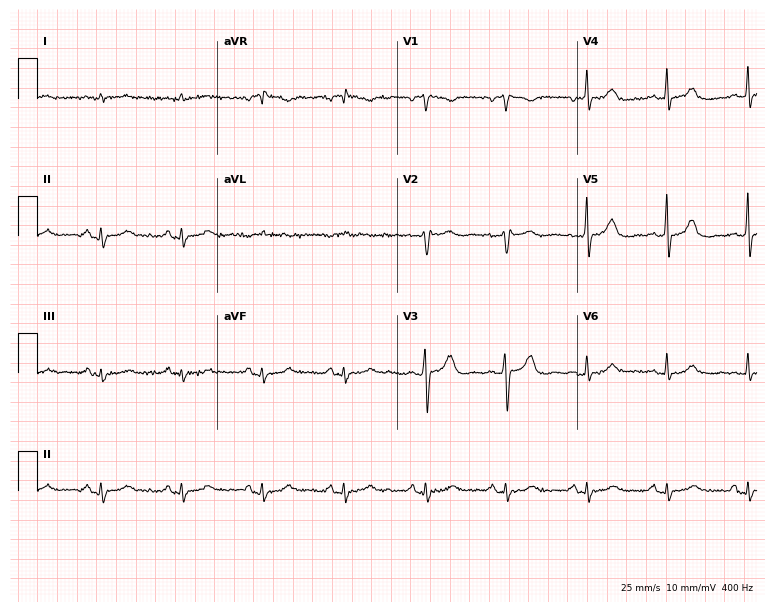
Resting 12-lead electrocardiogram. Patient: an 84-year-old man. None of these six findings is recorded: first-degree AV block, right bundle branch block, left bundle branch block, sinus bradycardia, atrial fibrillation, sinus tachycardia. Findings outside these six are not listed.